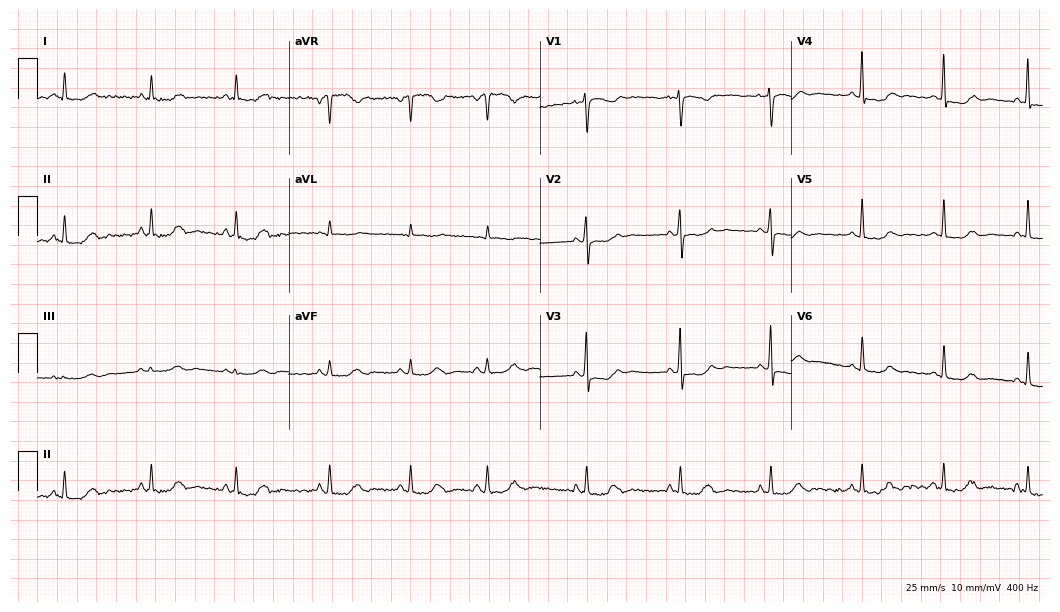
ECG — a 35-year-old woman. Screened for six findings — first-degree AV block, right bundle branch block, left bundle branch block, sinus bradycardia, atrial fibrillation, sinus tachycardia — none is recorded.